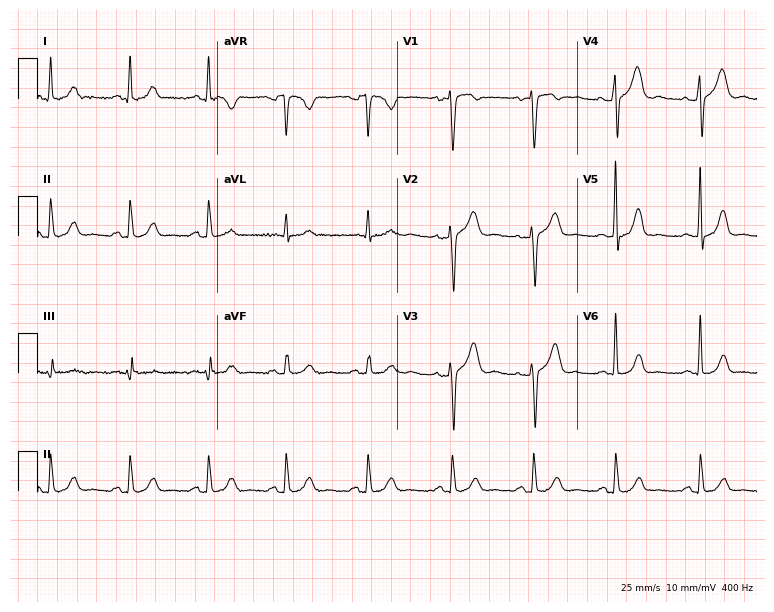
Standard 12-lead ECG recorded from a 33-year-old woman (7.3-second recording at 400 Hz). None of these six findings is recorded: first-degree AV block, right bundle branch block, left bundle branch block, sinus bradycardia, atrial fibrillation, sinus tachycardia. Only these six findings were labelled.